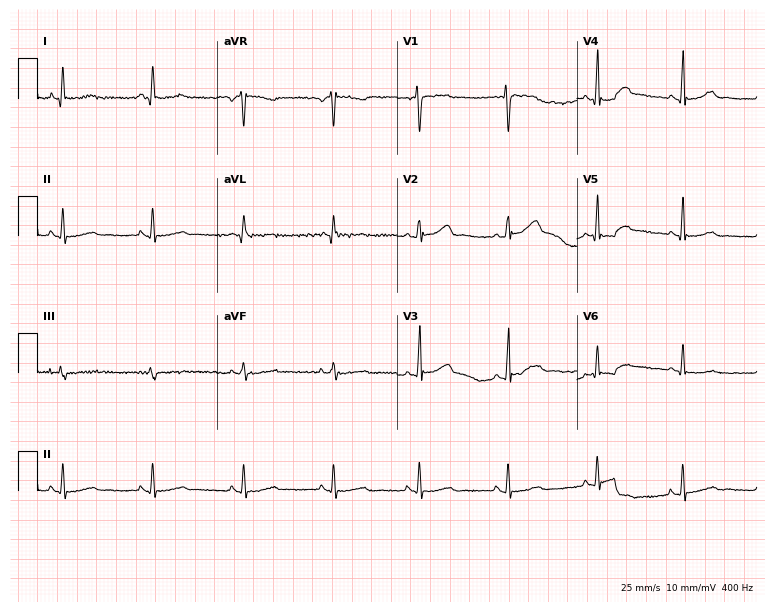
12-lead ECG from a 30-year-old female patient. No first-degree AV block, right bundle branch block, left bundle branch block, sinus bradycardia, atrial fibrillation or sinus tachycardia recorded for this tracing.